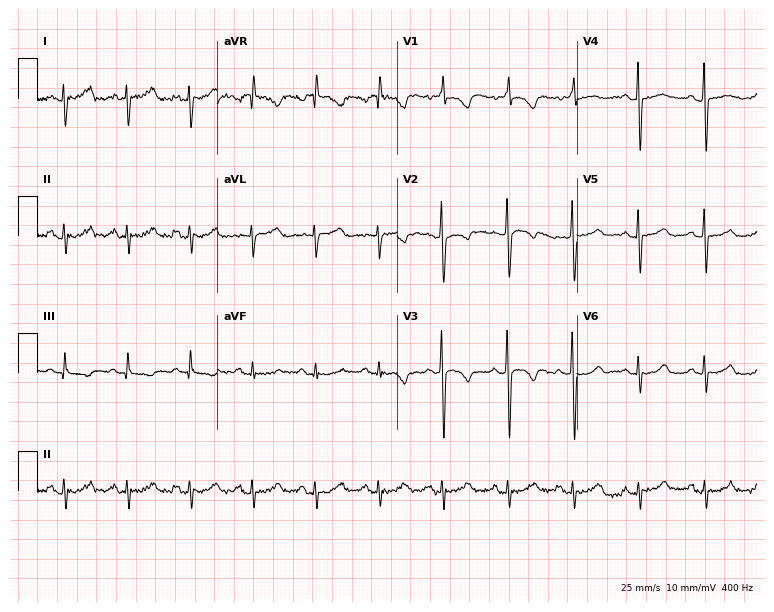
12-lead ECG from a woman, 30 years old. No first-degree AV block, right bundle branch block, left bundle branch block, sinus bradycardia, atrial fibrillation or sinus tachycardia recorded for this tracing. Findings outside these six are not listed.